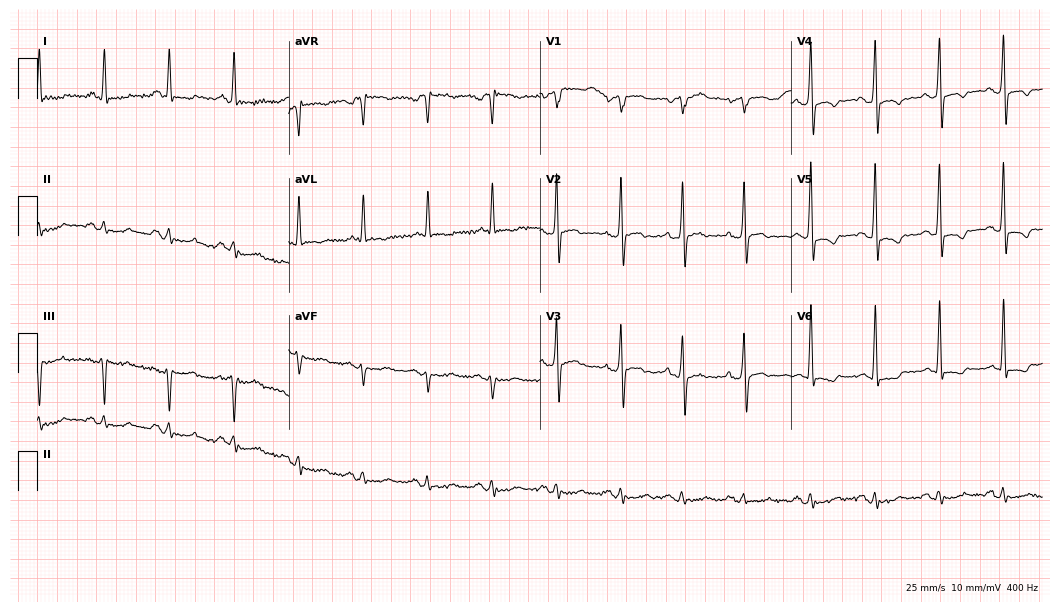
ECG — a 78-year-old male. Screened for six findings — first-degree AV block, right bundle branch block, left bundle branch block, sinus bradycardia, atrial fibrillation, sinus tachycardia — none is recorded. Other findings, if any, are not listed.